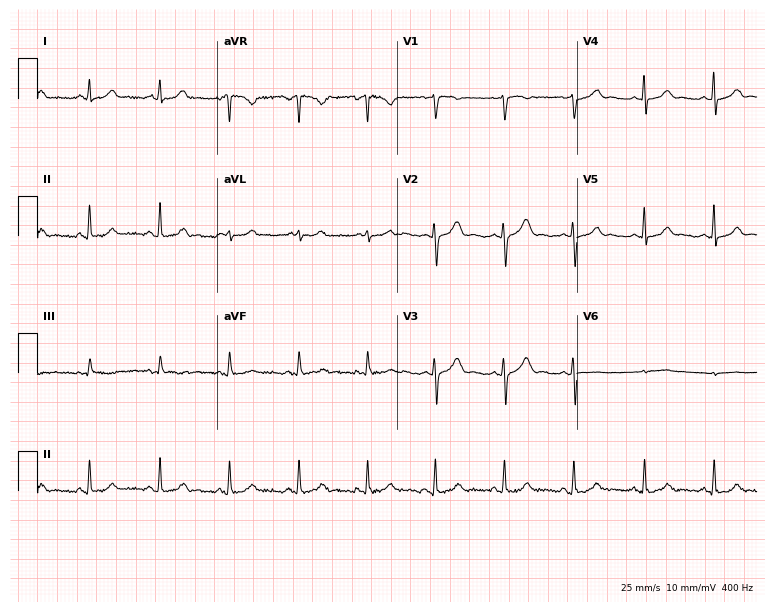
12-lead ECG from a 40-year-old female patient. Labelled as a normal ECG.